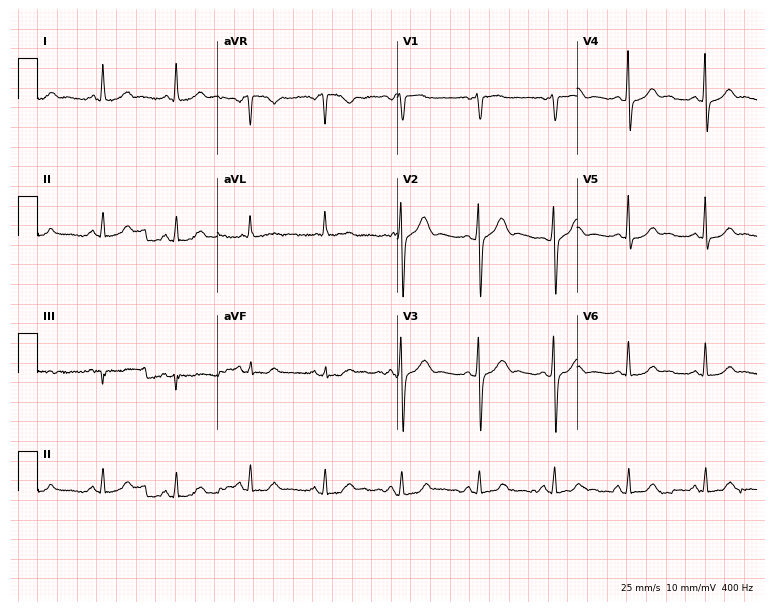
12-lead ECG (7.3-second recording at 400 Hz) from a female patient, 58 years old. Labelled as a normal ECG.